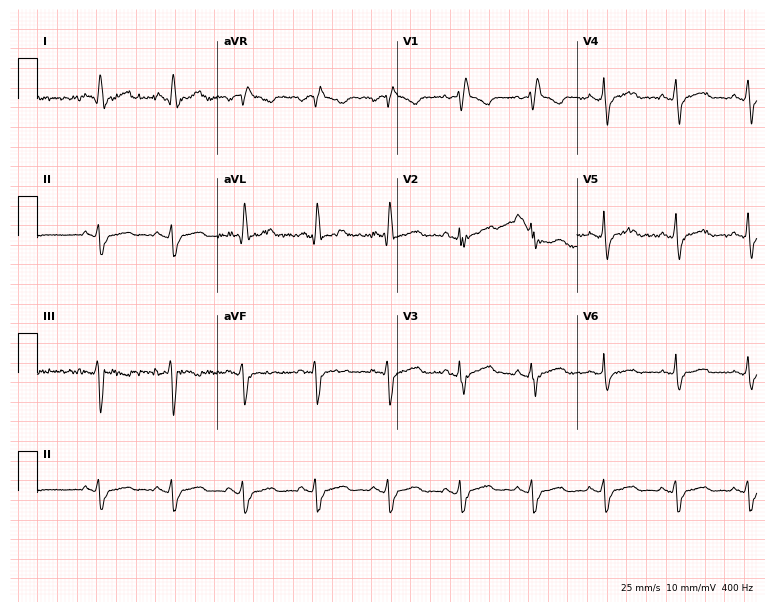
12-lead ECG from a female patient, 48 years old (7.3-second recording at 400 Hz). Shows right bundle branch block.